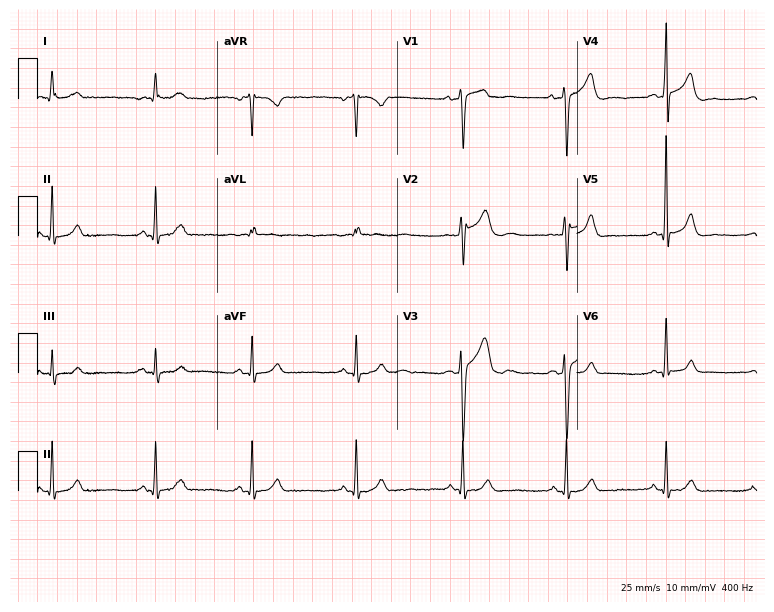
ECG (7.3-second recording at 400 Hz) — a male, 50 years old. Screened for six findings — first-degree AV block, right bundle branch block (RBBB), left bundle branch block (LBBB), sinus bradycardia, atrial fibrillation (AF), sinus tachycardia — none is recorded.